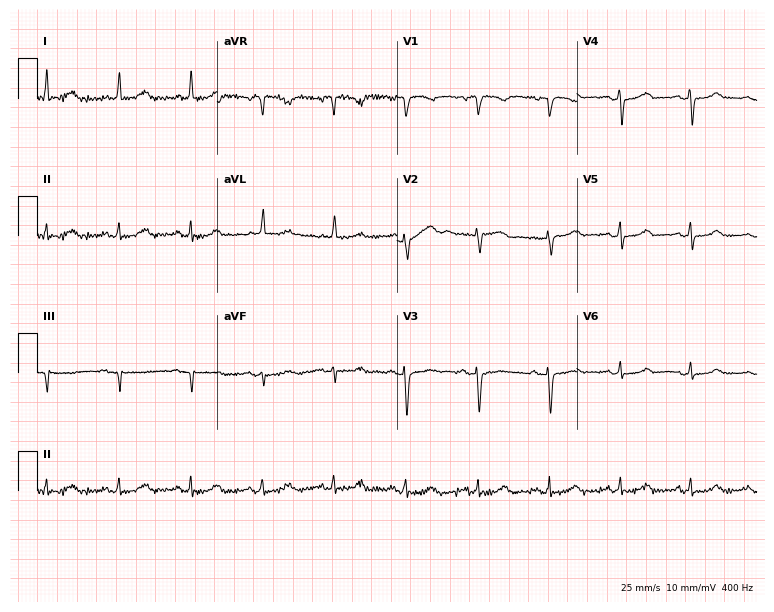
ECG (7.3-second recording at 400 Hz) — a female, 82 years old. Labelled as a normal ECG.